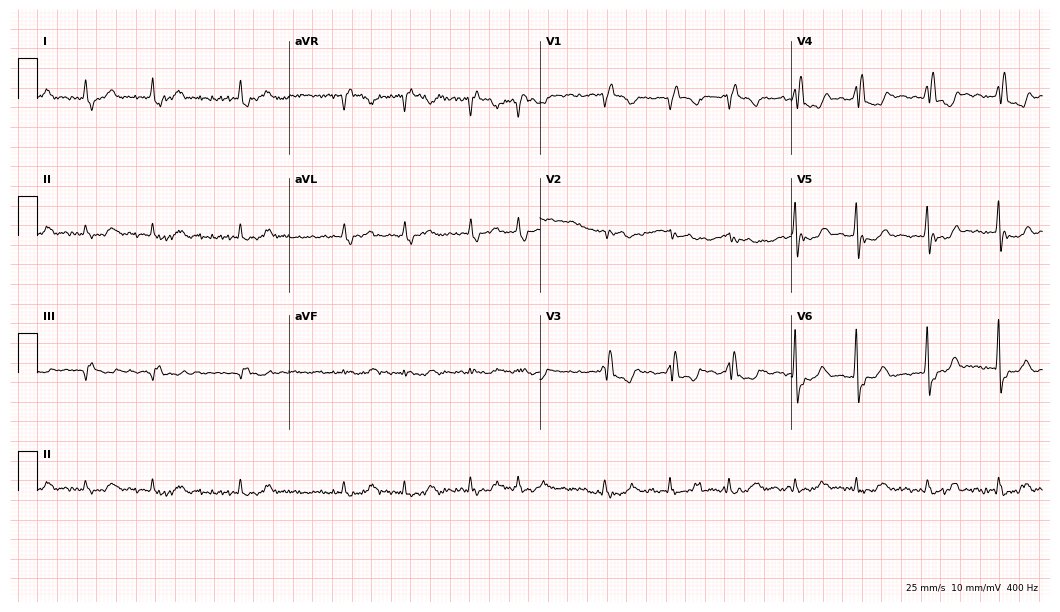
12-lead ECG from an 82-year-old male patient (10.2-second recording at 400 Hz). No first-degree AV block, right bundle branch block (RBBB), left bundle branch block (LBBB), sinus bradycardia, atrial fibrillation (AF) or sinus tachycardia recorded for this tracing.